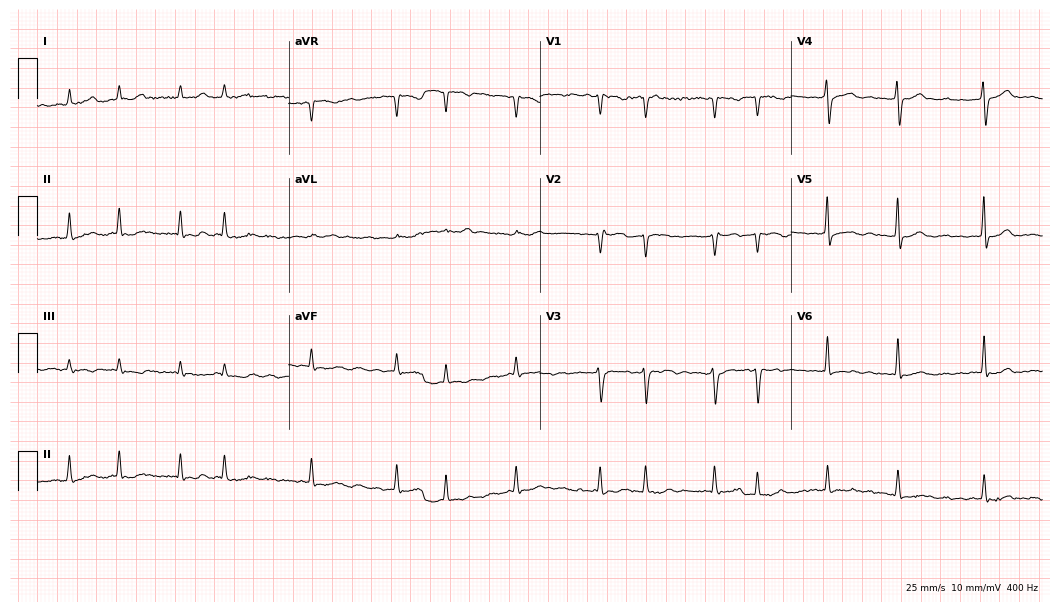
Standard 12-lead ECG recorded from a female, 72 years old (10.2-second recording at 400 Hz). The tracing shows atrial fibrillation.